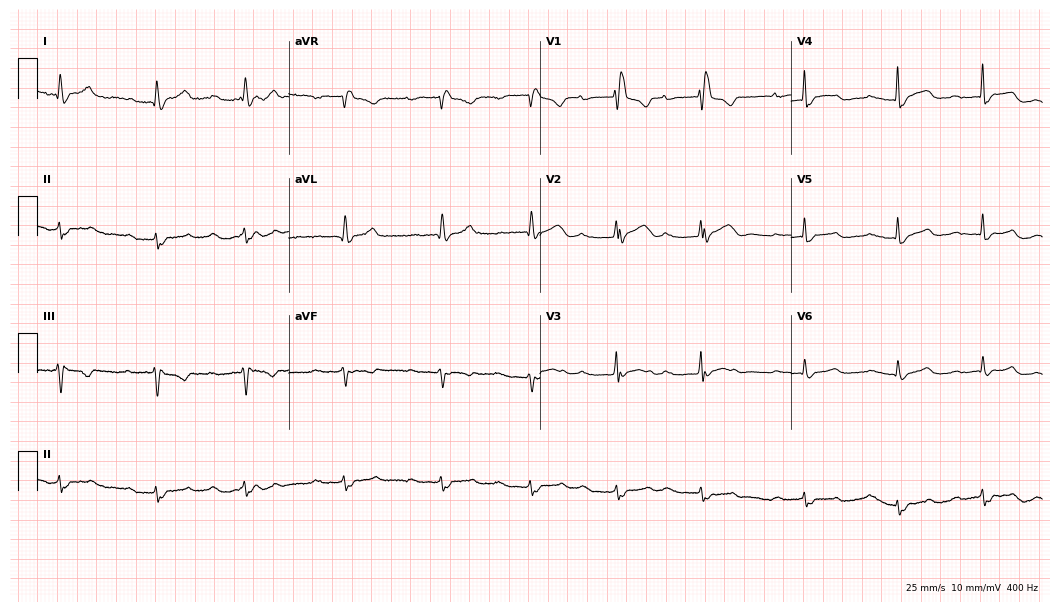
12-lead ECG (10.2-second recording at 400 Hz) from a 76-year-old female. Findings include first-degree AV block, right bundle branch block.